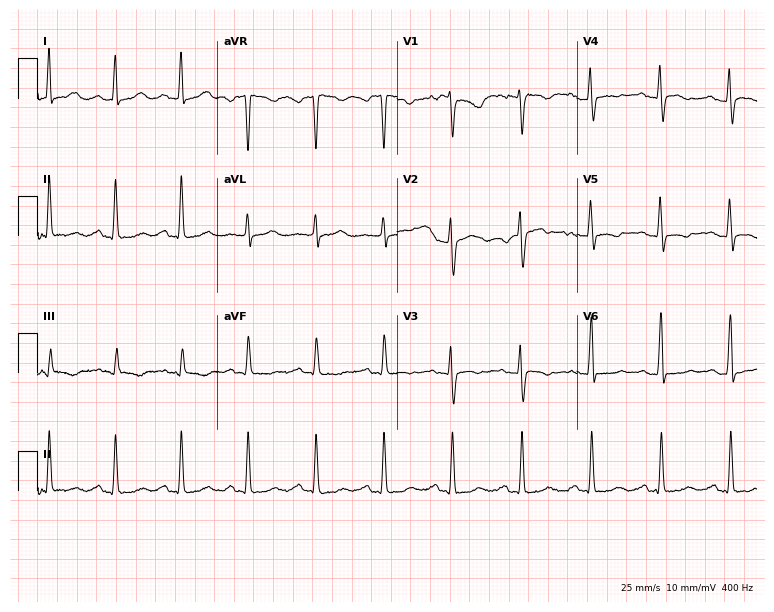
12-lead ECG from a 36-year-old female patient. No first-degree AV block, right bundle branch block, left bundle branch block, sinus bradycardia, atrial fibrillation or sinus tachycardia recorded for this tracing.